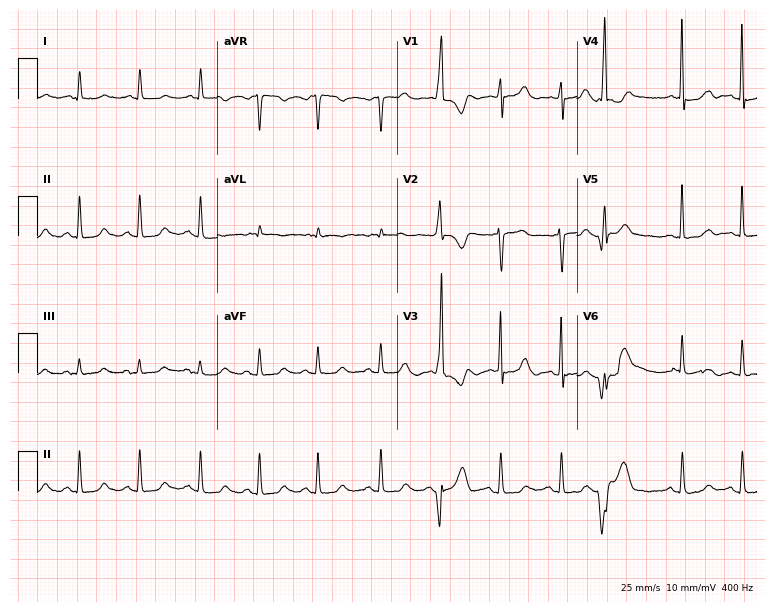
12-lead ECG from a female patient, 70 years old. Screened for six findings — first-degree AV block, right bundle branch block, left bundle branch block, sinus bradycardia, atrial fibrillation, sinus tachycardia — none is recorded. Findings outside these six are not listed.